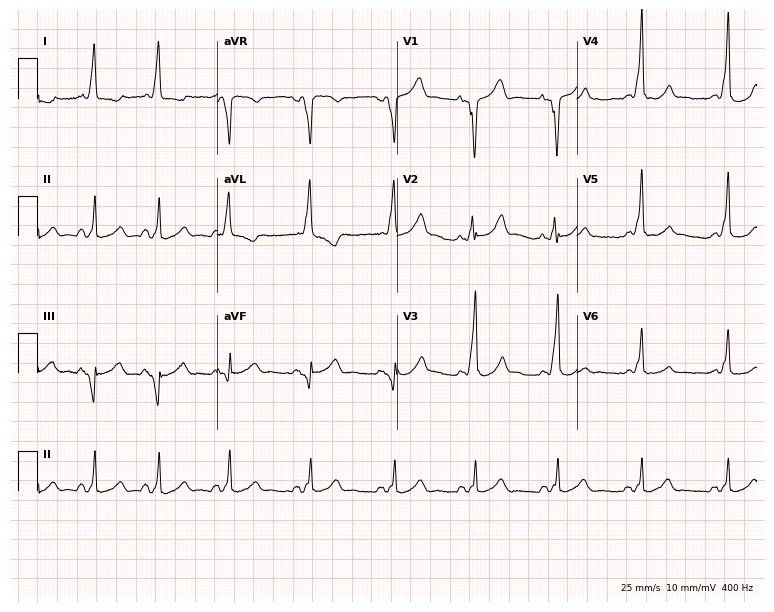
ECG — a 32-year-old woman. Screened for six findings — first-degree AV block, right bundle branch block (RBBB), left bundle branch block (LBBB), sinus bradycardia, atrial fibrillation (AF), sinus tachycardia — none is recorded.